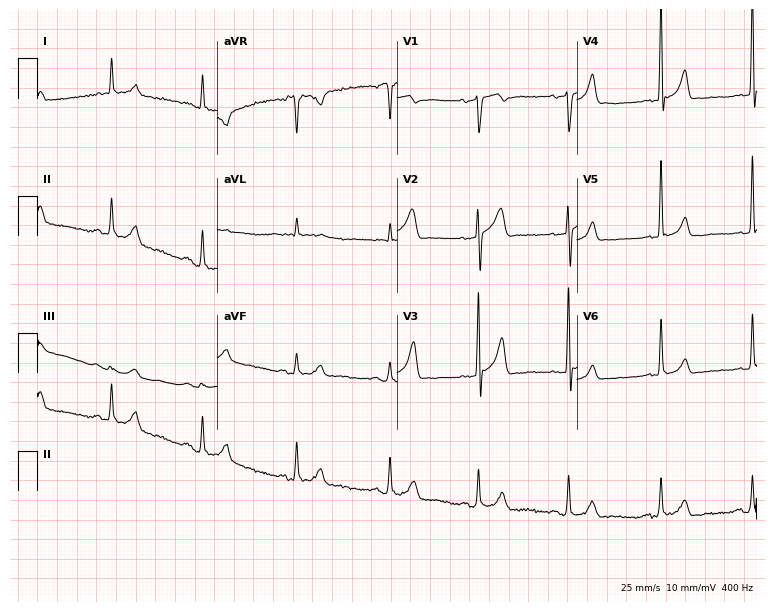
Resting 12-lead electrocardiogram. Patient: a man, 70 years old. None of these six findings is recorded: first-degree AV block, right bundle branch block (RBBB), left bundle branch block (LBBB), sinus bradycardia, atrial fibrillation (AF), sinus tachycardia.